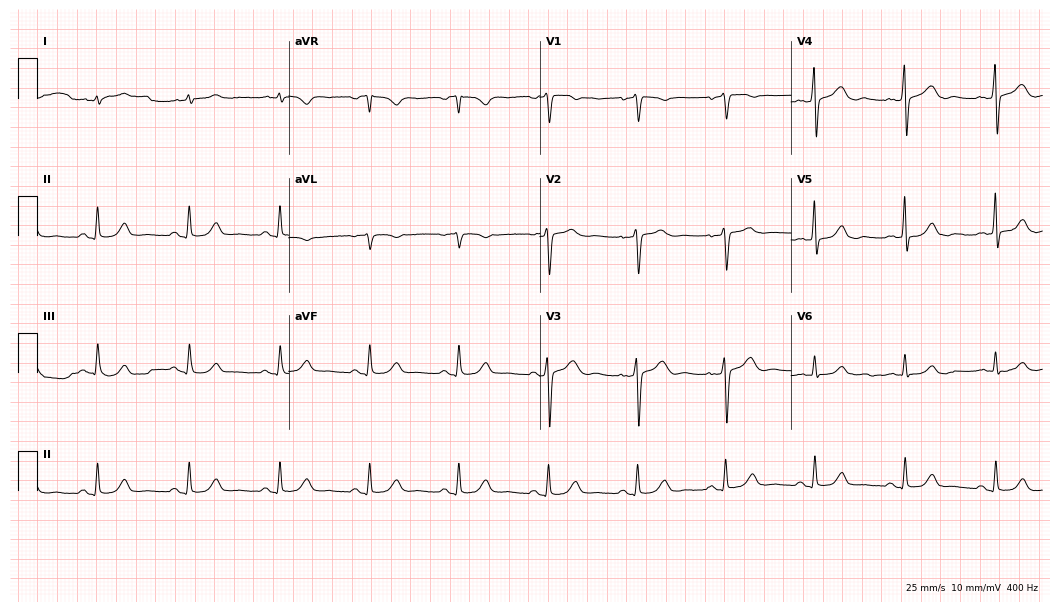
Electrocardiogram (10.2-second recording at 400 Hz), a 70-year-old male patient. Overall reading on record: normal ECG.